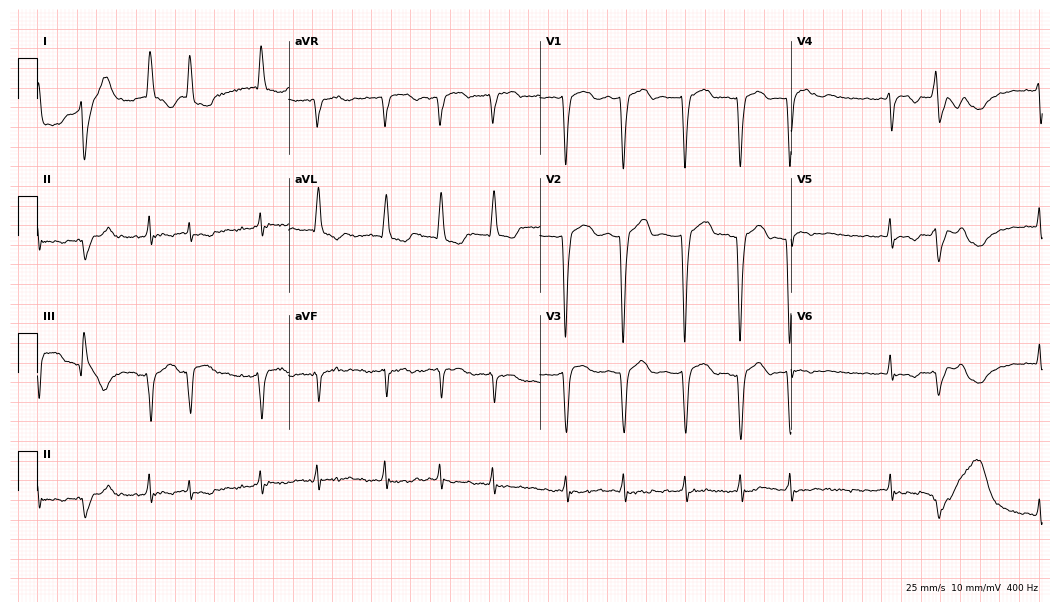
Standard 12-lead ECG recorded from a woman, 66 years old (10.2-second recording at 400 Hz). The tracing shows atrial fibrillation (AF).